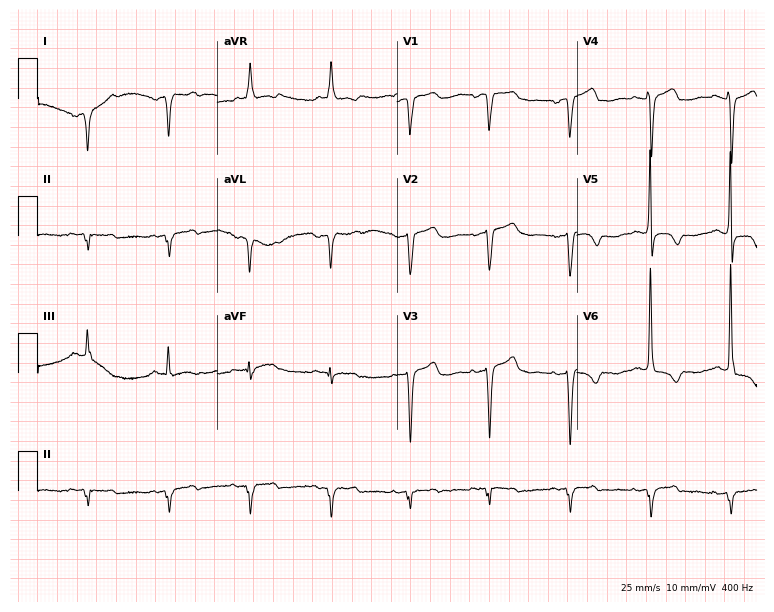
Resting 12-lead electrocardiogram (7.3-second recording at 400 Hz). Patient: an 80-year-old woman. None of these six findings is recorded: first-degree AV block, right bundle branch block, left bundle branch block, sinus bradycardia, atrial fibrillation, sinus tachycardia. Other findings, if any, are not listed.